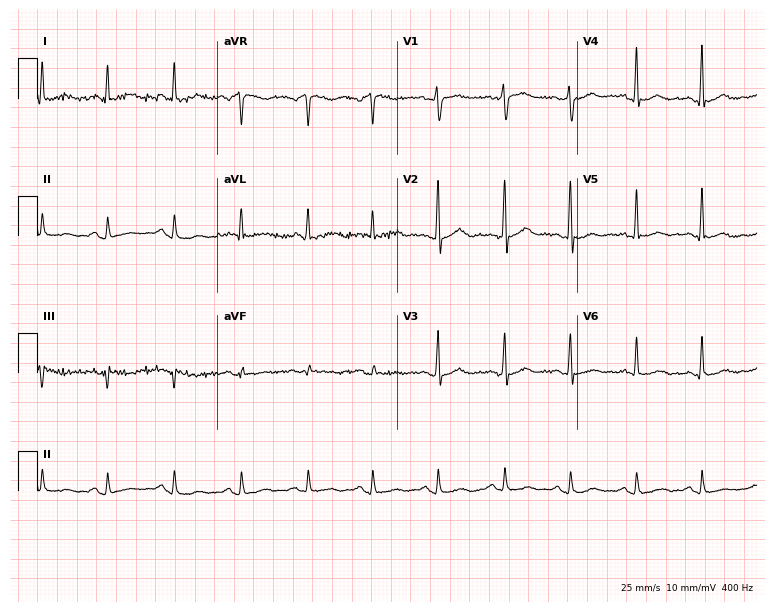
Electrocardiogram (7.3-second recording at 400 Hz), a female, 57 years old. Of the six screened findings (first-degree AV block, right bundle branch block, left bundle branch block, sinus bradycardia, atrial fibrillation, sinus tachycardia), none is recorded.